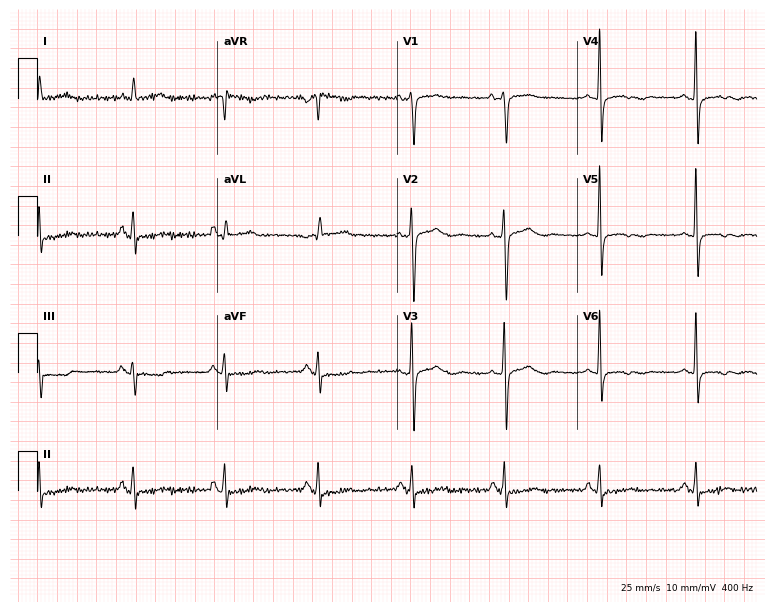
ECG (7.3-second recording at 400 Hz) — a 69-year-old female patient. Labelled as a normal ECG.